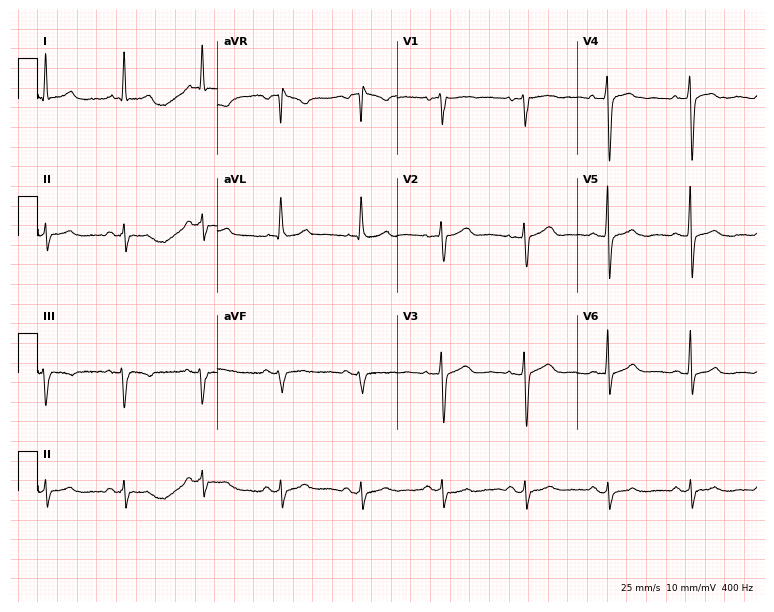
Standard 12-lead ECG recorded from a 66-year-old woman. None of these six findings is recorded: first-degree AV block, right bundle branch block, left bundle branch block, sinus bradycardia, atrial fibrillation, sinus tachycardia. Other findings, if any, are not listed.